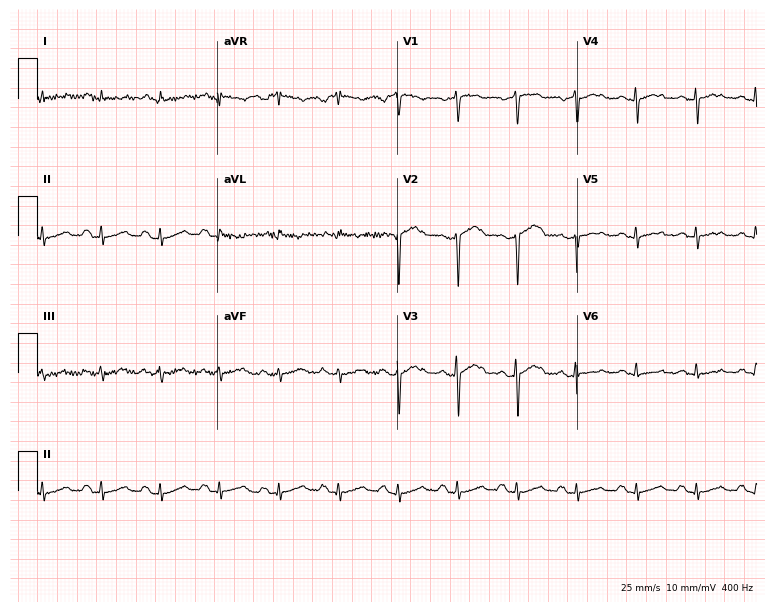
12-lead ECG from a 43-year-old male patient. No first-degree AV block, right bundle branch block (RBBB), left bundle branch block (LBBB), sinus bradycardia, atrial fibrillation (AF) or sinus tachycardia recorded for this tracing.